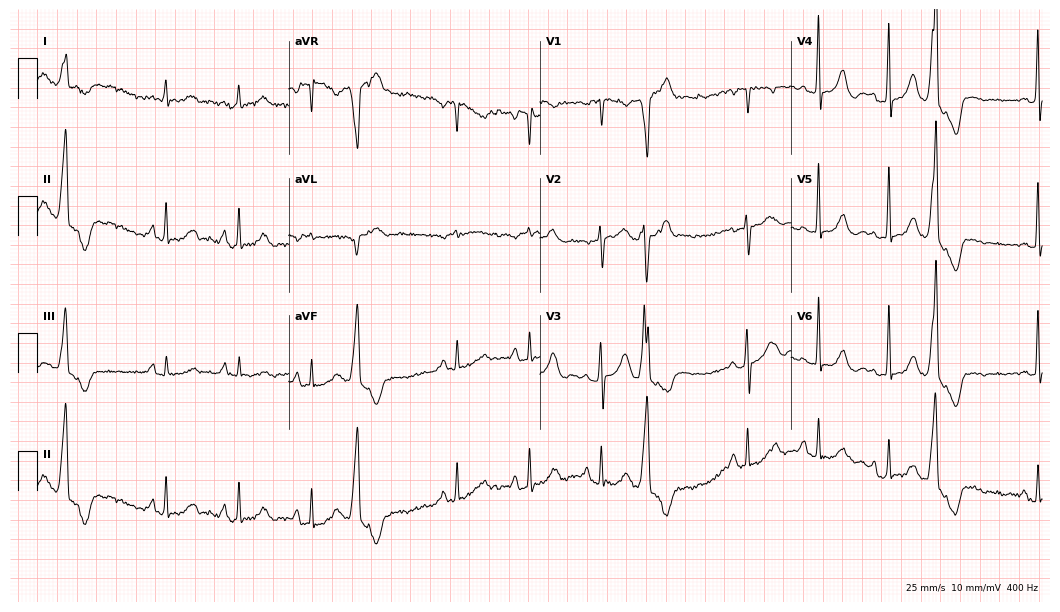
12-lead ECG from a man, 78 years old. No first-degree AV block, right bundle branch block, left bundle branch block, sinus bradycardia, atrial fibrillation or sinus tachycardia recorded for this tracing.